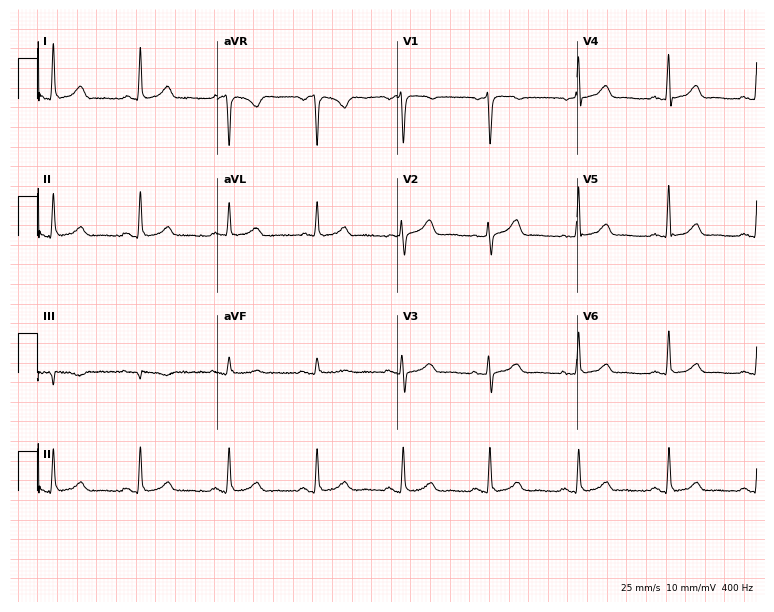
Electrocardiogram (7.3-second recording at 400 Hz), a woman, 57 years old. Overall reading on record: normal ECG.